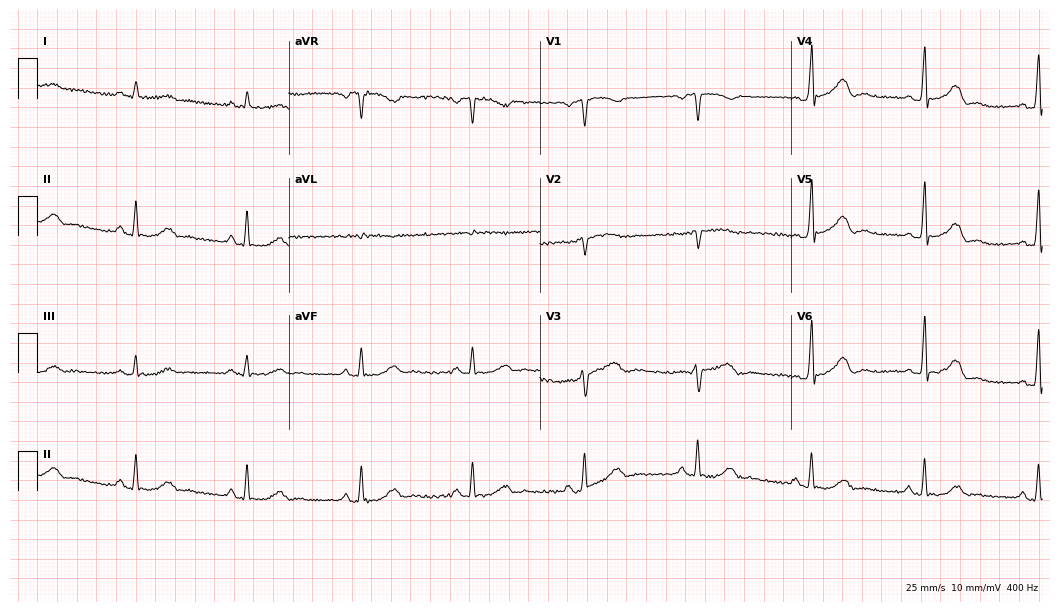
ECG — a man, 21 years old. Screened for six findings — first-degree AV block, right bundle branch block, left bundle branch block, sinus bradycardia, atrial fibrillation, sinus tachycardia — none is recorded. Only these six findings were labelled.